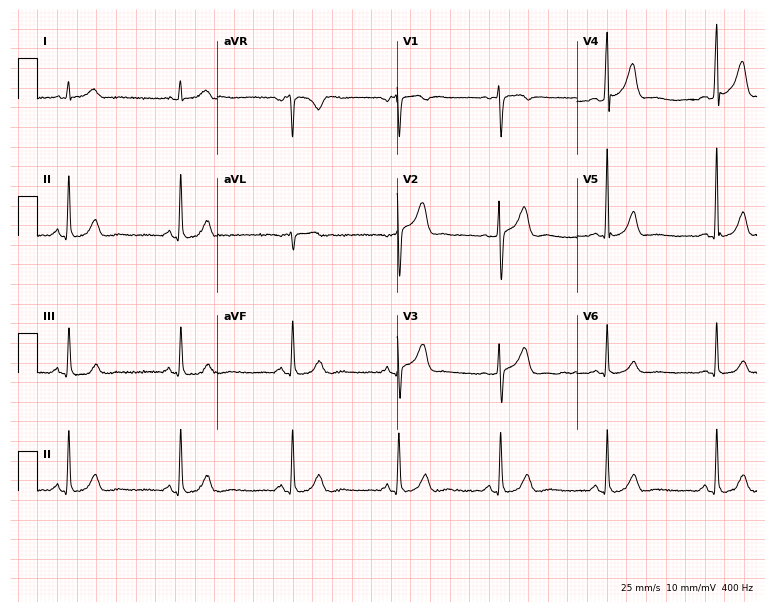
ECG (7.3-second recording at 400 Hz) — a 31-year-old male. Labelled as a normal ECG.